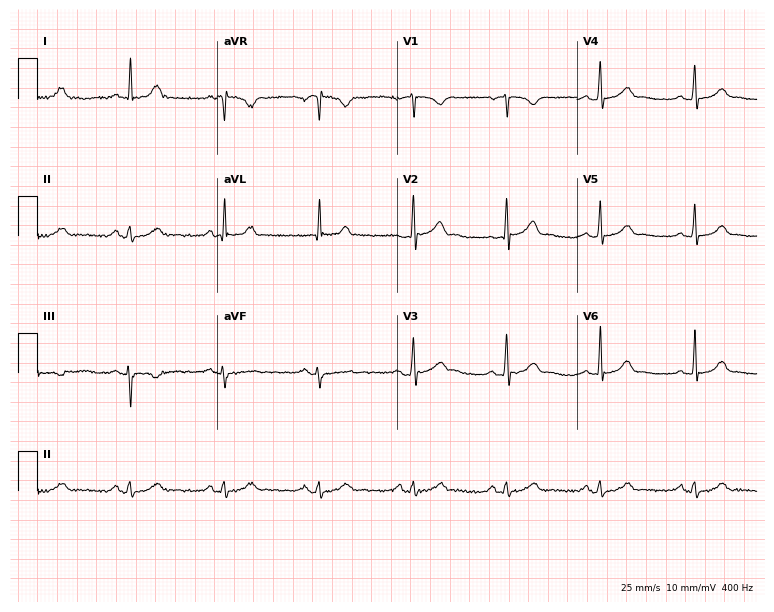
Resting 12-lead electrocardiogram. Patient: a 54-year-old male. Read as a normal ECG.